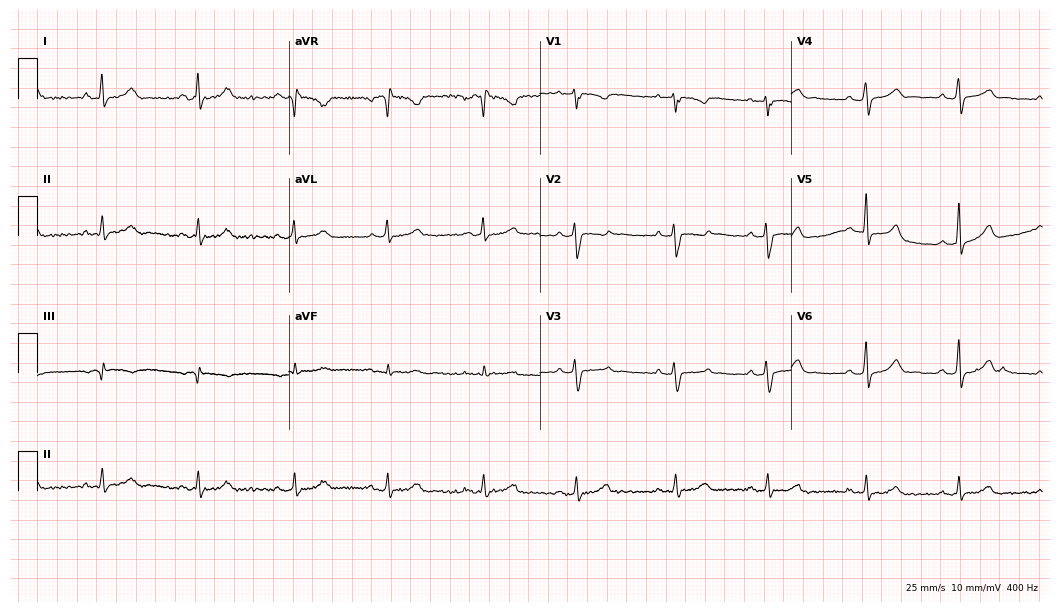
12-lead ECG from a 33-year-old female (10.2-second recording at 400 Hz). Recorded interpretation: within normal limits.